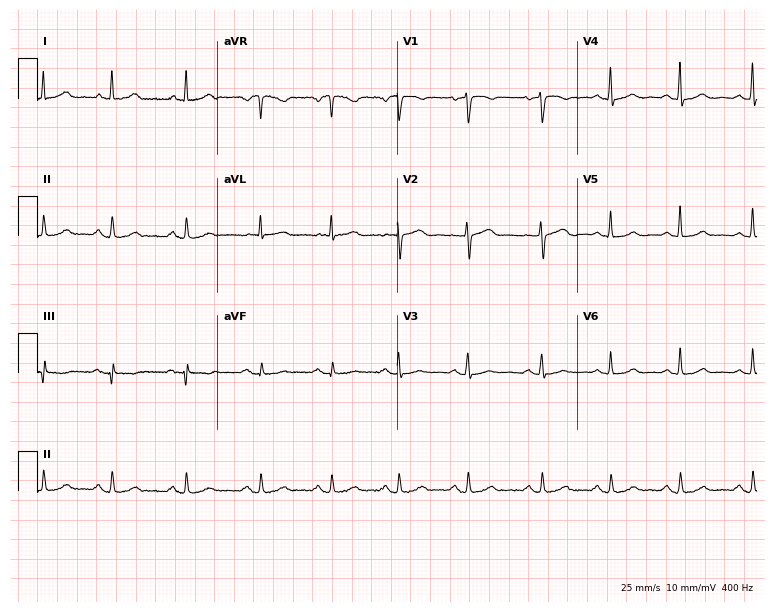
12-lead ECG from a 59-year-old female patient. No first-degree AV block, right bundle branch block (RBBB), left bundle branch block (LBBB), sinus bradycardia, atrial fibrillation (AF) or sinus tachycardia recorded for this tracing.